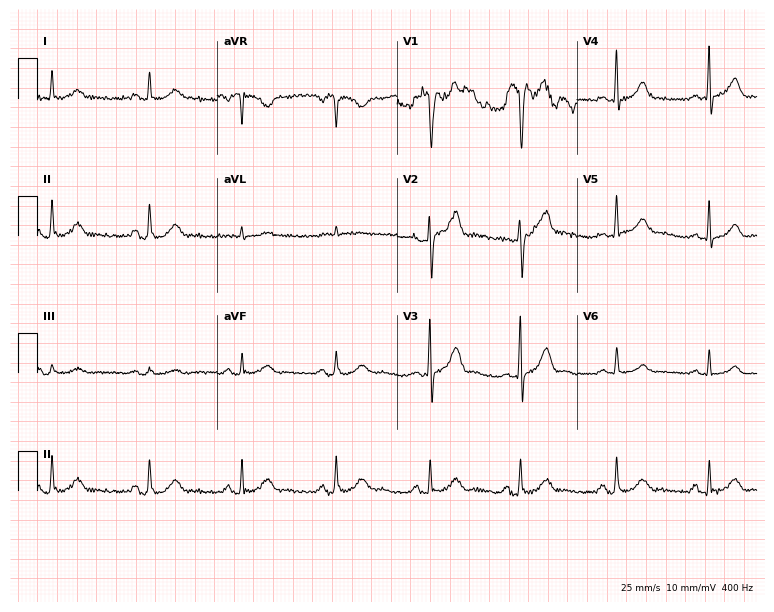
Resting 12-lead electrocardiogram. Patient: a male, 58 years old. None of these six findings is recorded: first-degree AV block, right bundle branch block, left bundle branch block, sinus bradycardia, atrial fibrillation, sinus tachycardia. Findings outside these six are not listed.